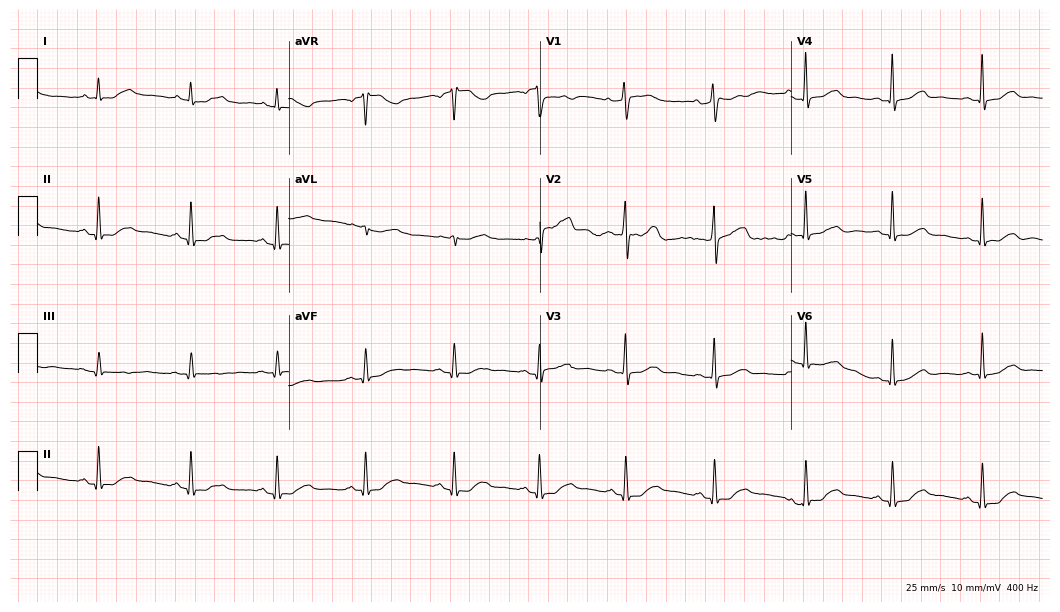
ECG — a 53-year-old woman. Labelled as a normal ECG.